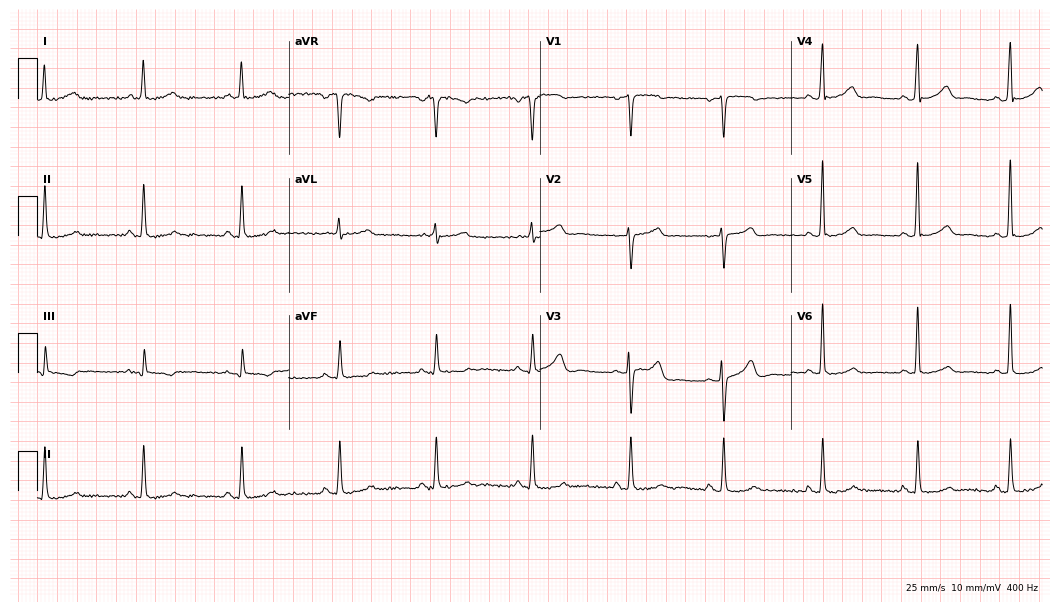
Standard 12-lead ECG recorded from a female, 50 years old (10.2-second recording at 400 Hz). None of these six findings is recorded: first-degree AV block, right bundle branch block (RBBB), left bundle branch block (LBBB), sinus bradycardia, atrial fibrillation (AF), sinus tachycardia.